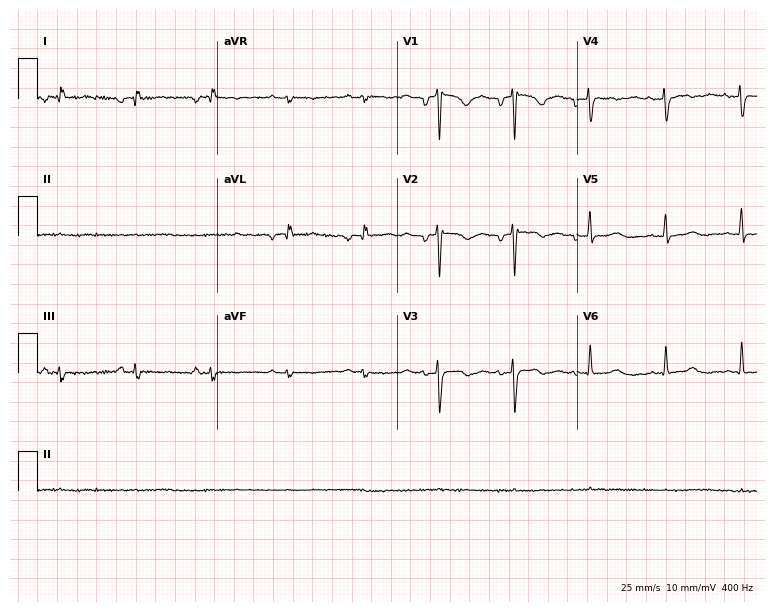
12-lead ECG (7.3-second recording at 400 Hz) from a 69-year-old female patient. Screened for six findings — first-degree AV block, right bundle branch block (RBBB), left bundle branch block (LBBB), sinus bradycardia, atrial fibrillation (AF), sinus tachycardia — none is recorded. Findings outside these six are not listed.